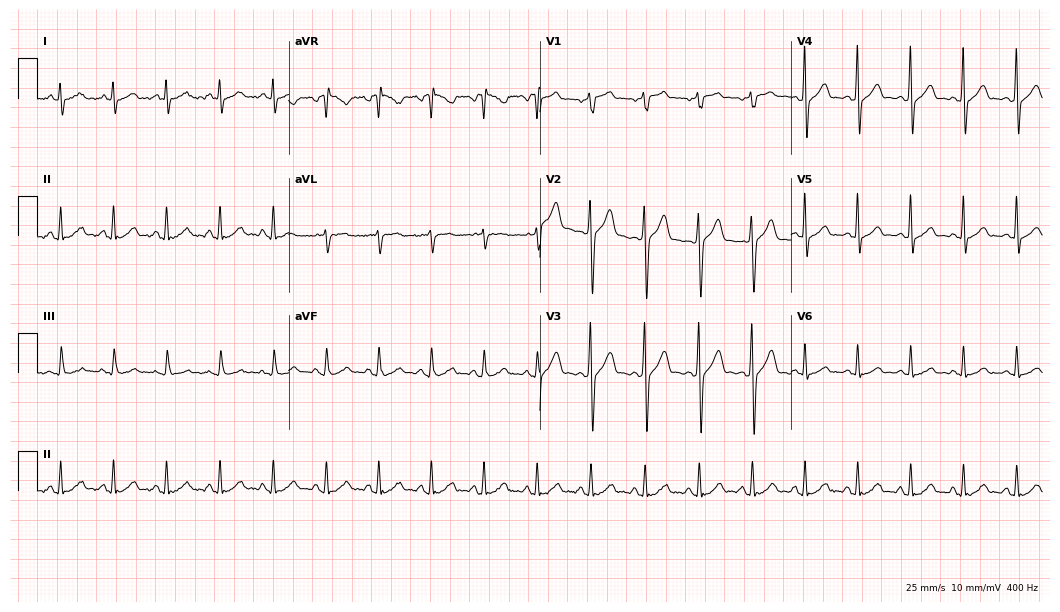
Electrocardiogram (10.2-second recording at 400 Hz), a 40-year-old male. Interpretation includes sinus tachycardia (a sinus rate of 100 beats per minute or more).